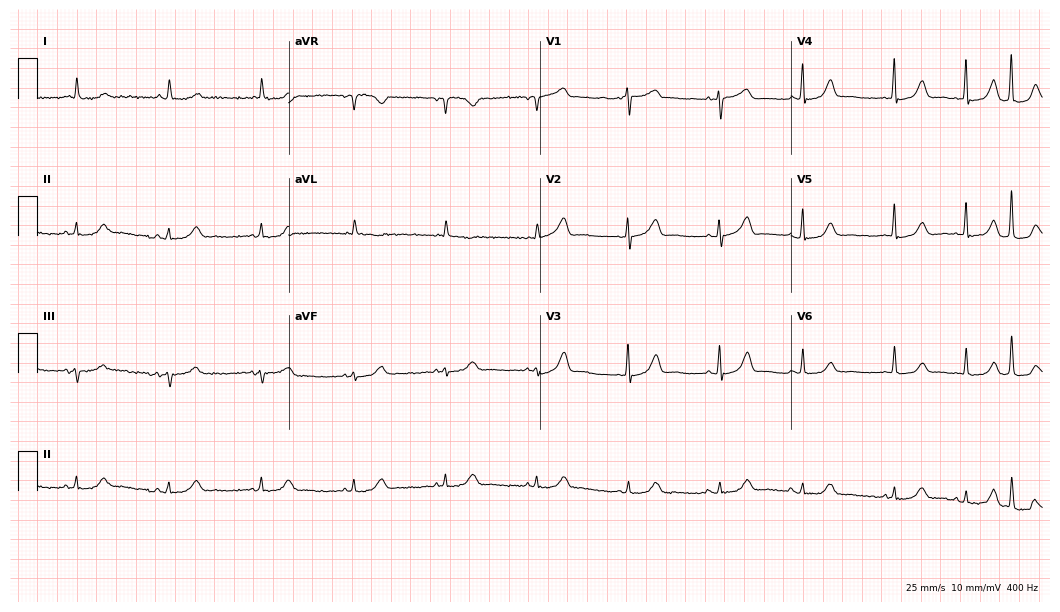
Standard 12-lead ECG recorded from a female, 78 years old (10.2-second recording at 400 Hz). None of these six findings is recorded: first-degree AV block, right bundle branch block (RBBB), left bundle branch block (LBBB), sinus bradycardia, atrial fibrillation (AF), sinus tachycardia. Only these six findings were labelled.